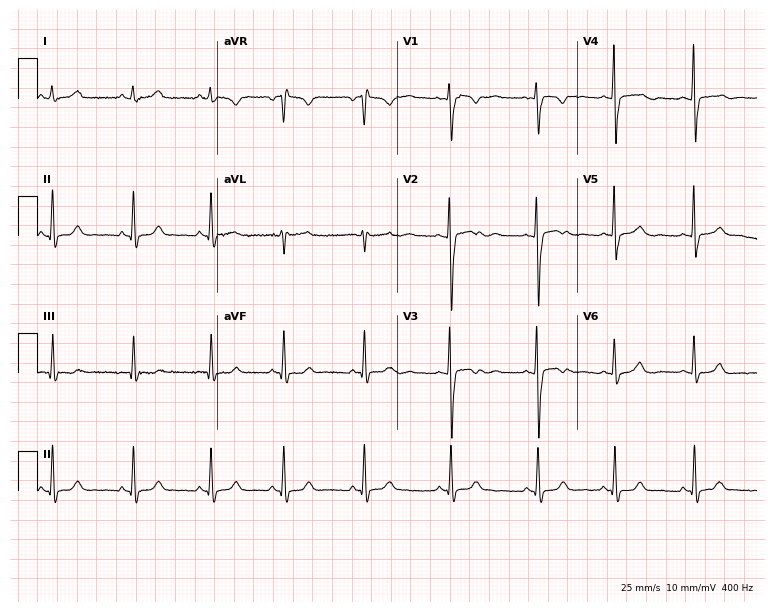
Electrocardiogram (7.3-second recording at 400 Hz), a female, 19 years old. Of the six screened findings (first-degree AV block, right bundle branch block, left bundle branch block, sinus bradycardia, atrial fibrillation, sinus tachycardia), none is recorded.